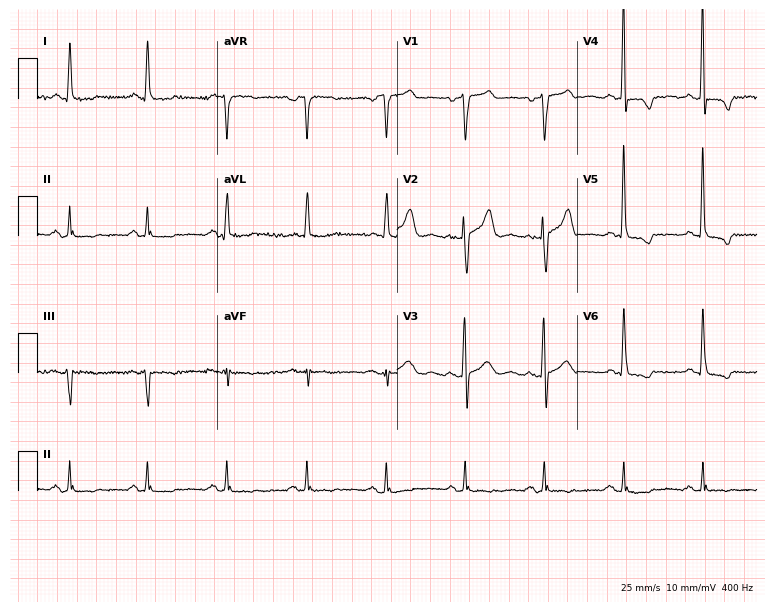
ECG — a man, 66 years old. Screened for six findings — first-degree AV block, right bundle branch block, left bundle branch block, sinus bradycardia, atrial fibrillation, sinus tachycardia — none is recorded.